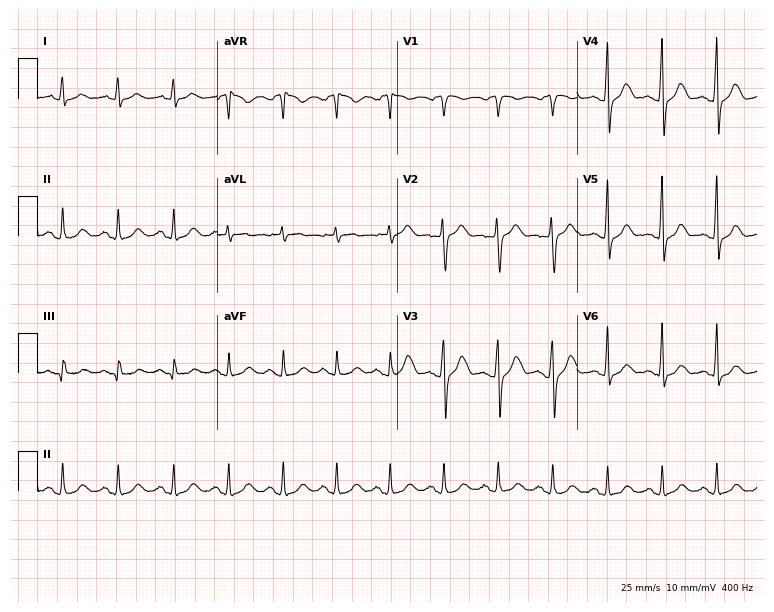
12-lead ECG from a male, 40 years old (7.3-second recording at 400 Hz). Shows sinus tachycardia (a sinus rate of 100 beats per minute or more).